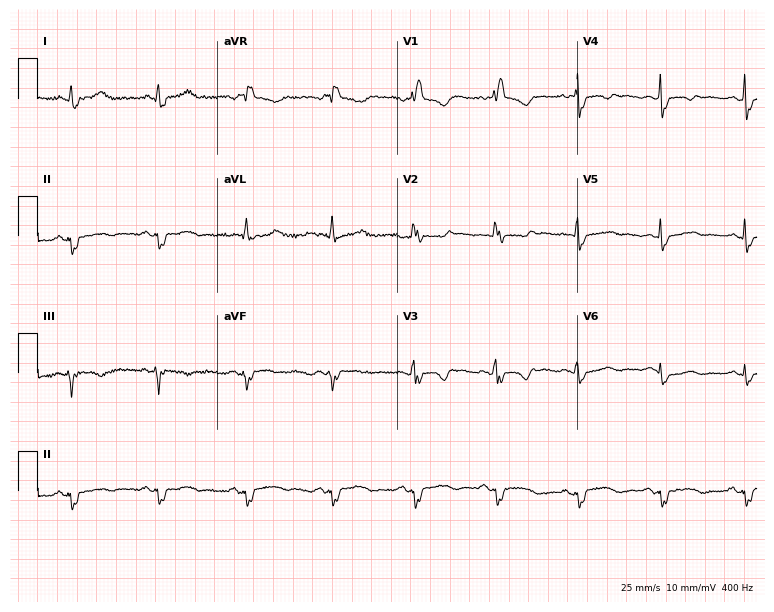
12-lead ECG (7.3-second recording at 400 Hz) from a 34-year-old female patient. Findings include right bundle branch block.